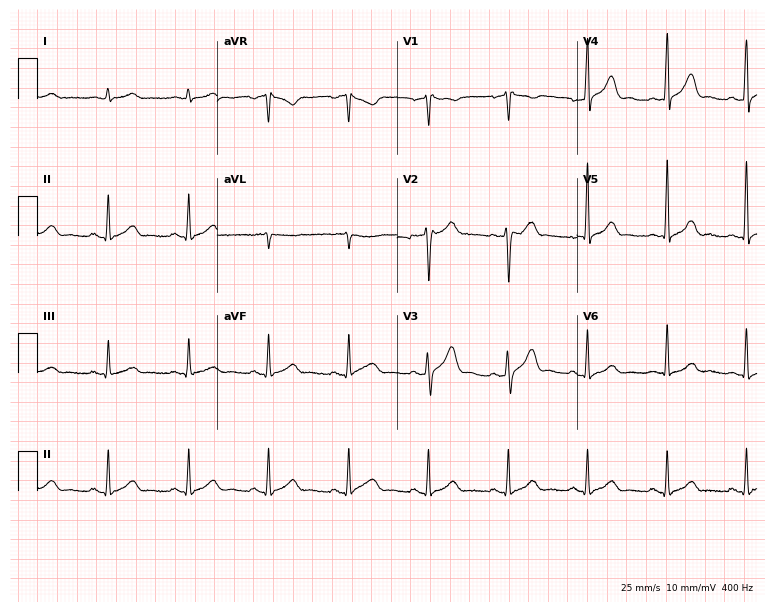
Electrocardiogram, a 56-year-old man. Of the six screened findings (first-degree AV block, right bundle branch block (RBBB), left bundle branch block (LBBB), sinus bradycardia, atrial fibrillation (AF), sinus tachycardia), none is recorded. Other findings, if any, are not listed.